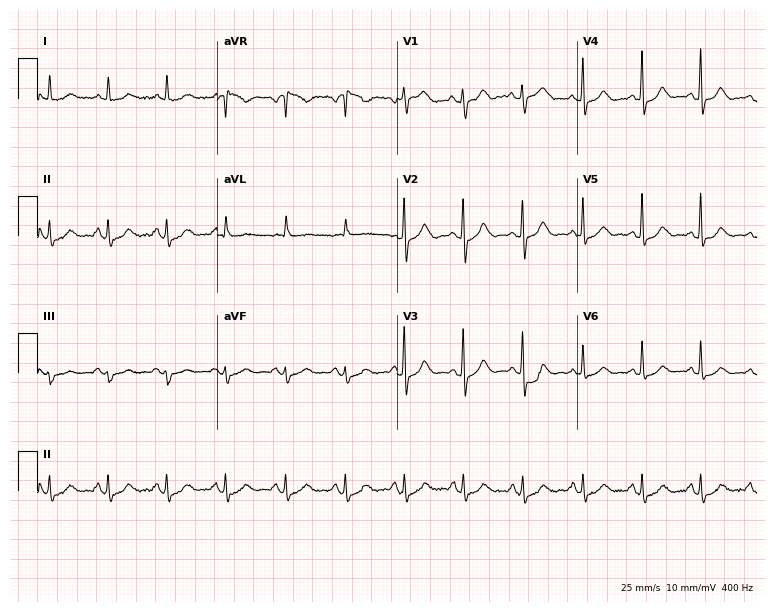
Standard 12-lead ECG recorded from a 64-year-old female. Read as a normal ECG.